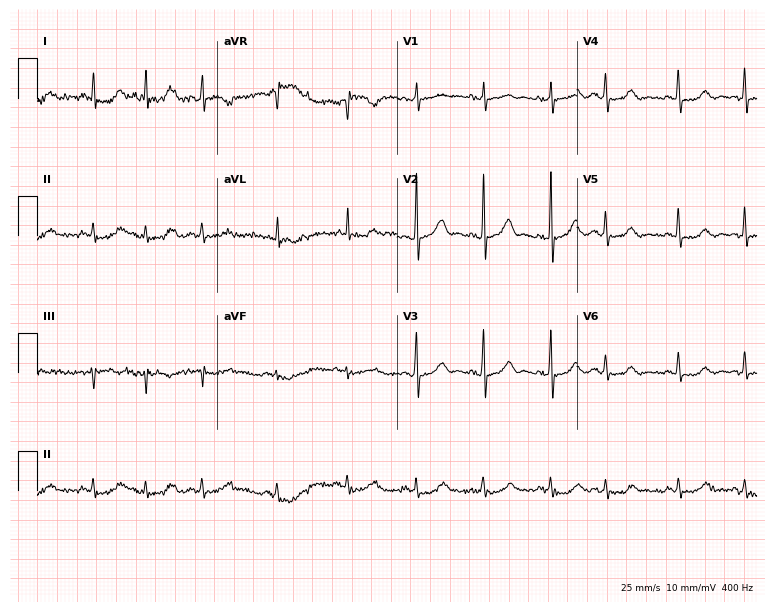
12-lead ECG from a 74-year-old female. Screened for six findings — first-degree AV block, right bundle branch block, left bundle branch block, sinus bradycardia, atrial fibrillation, sinus tachycardia — none is recorded.